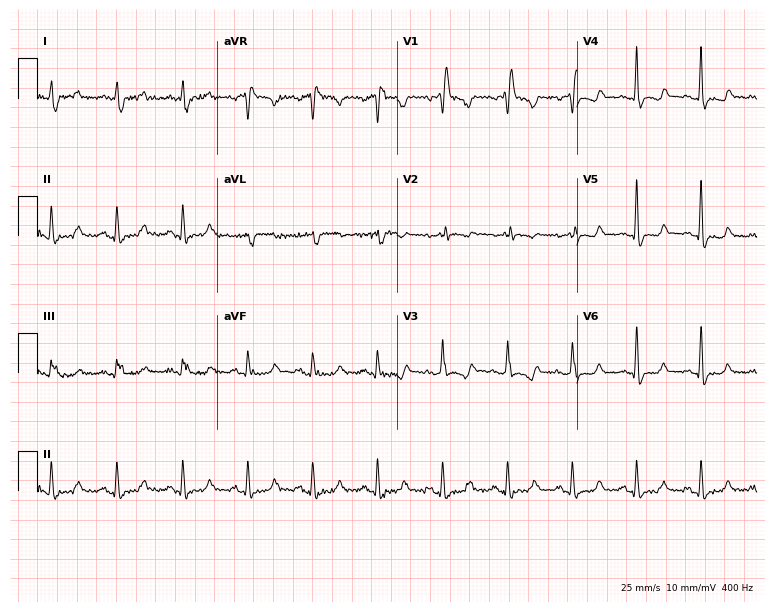
Electrocardiogram, a male, 71 years old. Interpretation includes right bundle branch block (RBBB).